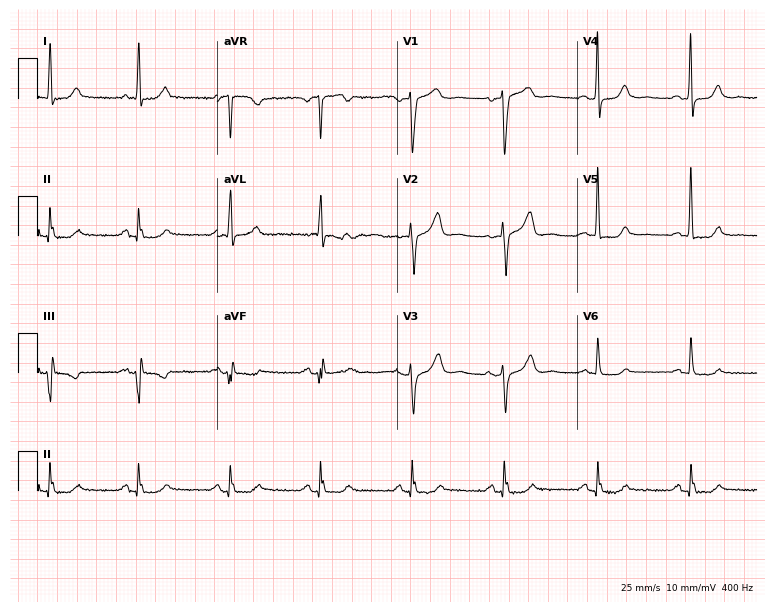
Electrocardiogram (7.3-second recording at 400 Hz), a female, 74 years old. Of the six screened findings (first-degree AV block, right bundle branch block, left bundle branch block, sinus bradycardia, atrial fibrillation, sinus tachycardia), none is recorded. Other findings, if any, are not listed.